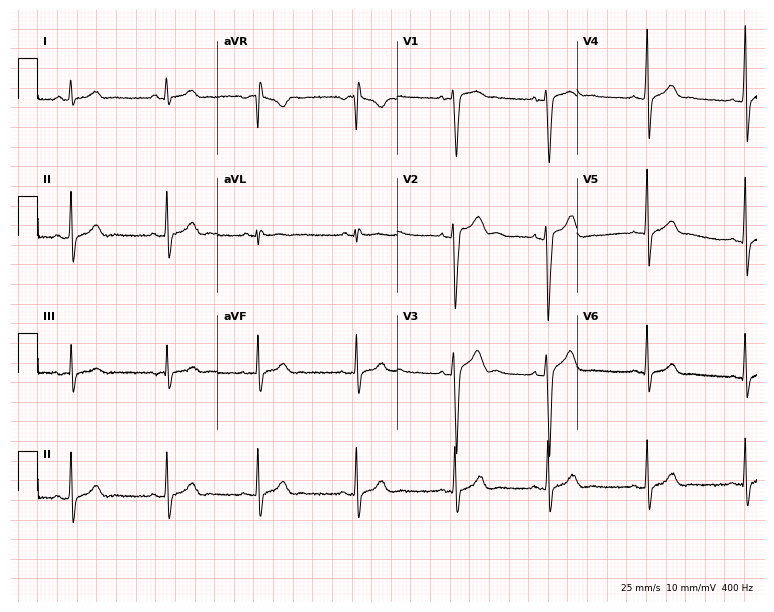
Resting 12-lead electrocardiogram (7.3-second recording at 400 Hz). Patient: a 19-year-old male. Read as a normal ECG.